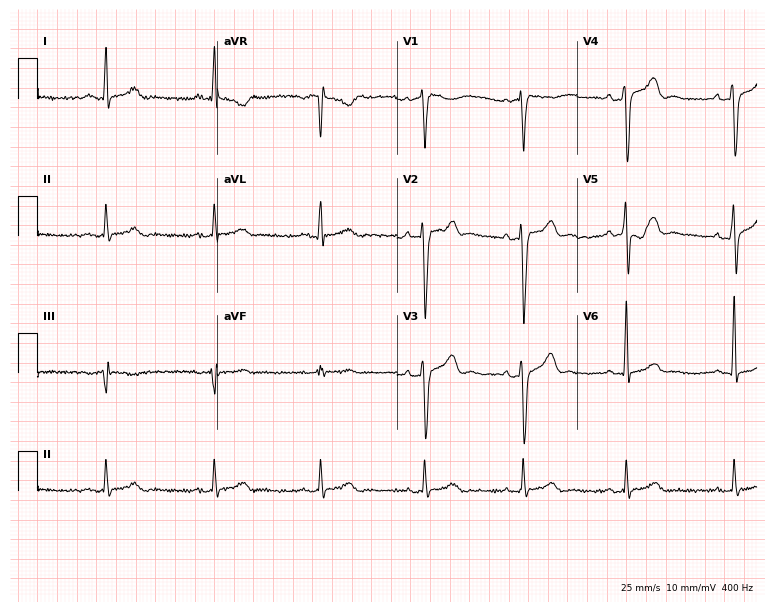
Resting 12-lead electrocardiogram. Patient: a 38-year-old male. Read as a normal ECG.